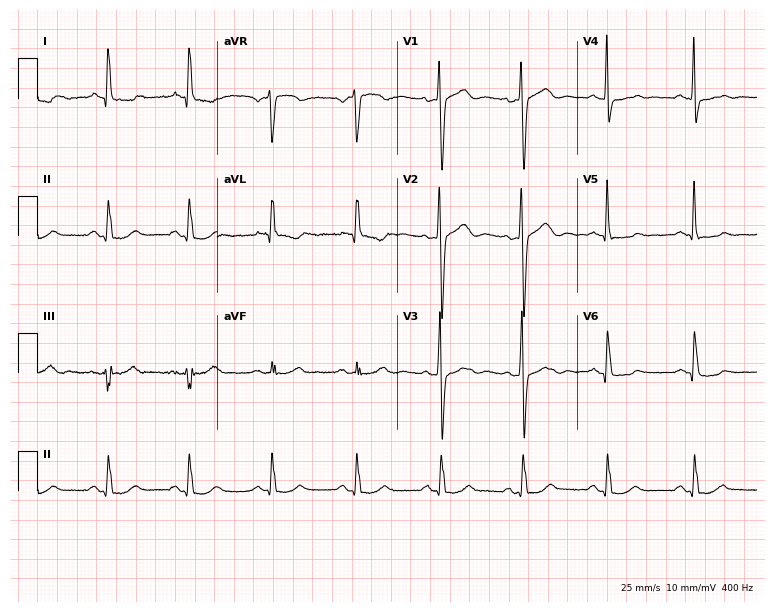
Standard 12-lead ECG recorded from a woman, 66 years old (7.3-second recording at 400 Hz). None of these six findings is recorded: first-degree AV block, right bundle branch block, left bundle branch block, sinus bradycardia, atrial fibrillation, sinus tachycardia.